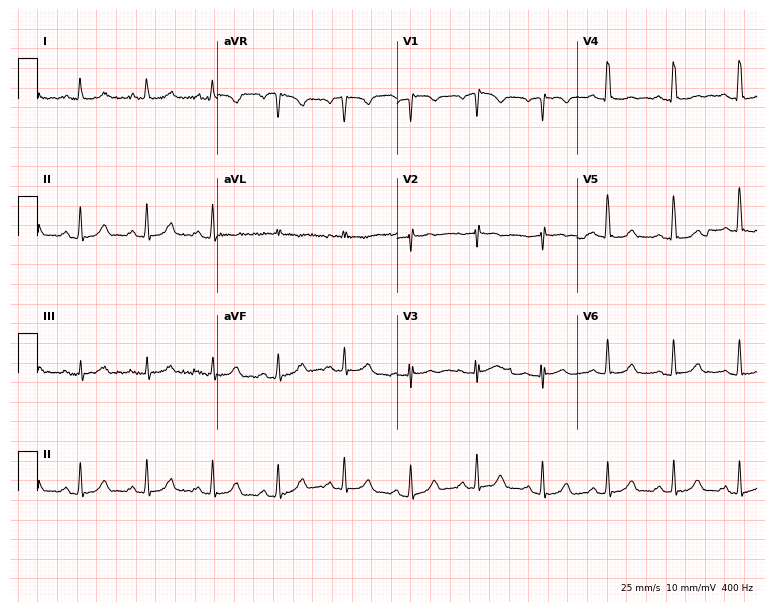
Electrocardiogram (7.3-second recording at 400 Hz), a man, 54 years old. Overall reading on record: normal ECG.